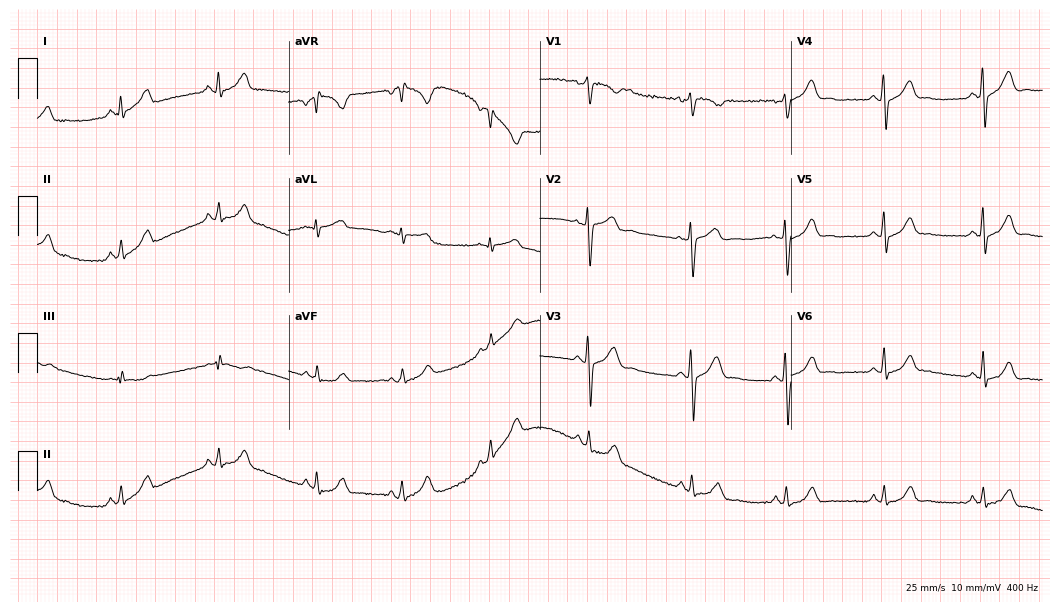
Standard 12-lead ECG recorded from a female patient, 24 years old (10.2-second recording at 400 Hz). Read as a normal ECG.